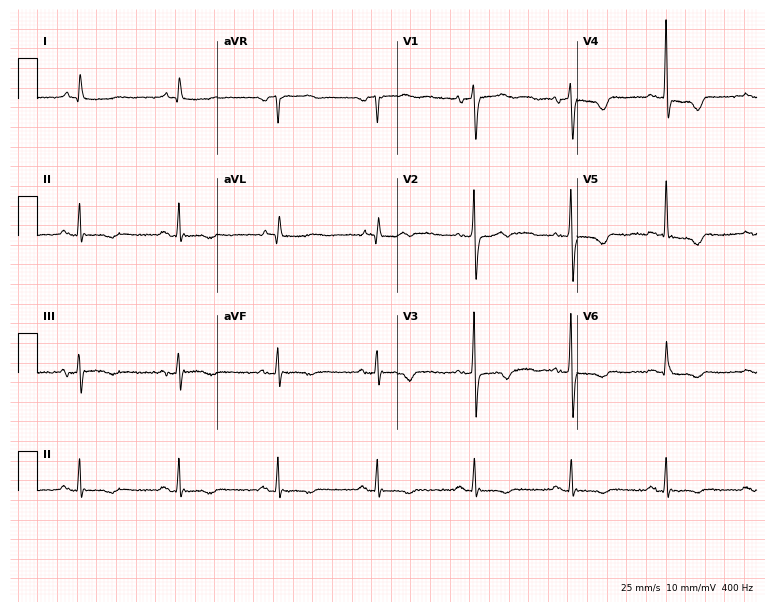
ECG (7.3-second recording at 400 Hz) — a 62-year-old female. Screened for six findings — first-degree AV block, right bundle branch block, left bundle branch block, sinus bradycardia, atrial fibrillation, sinus tachycardia — none is recorded.